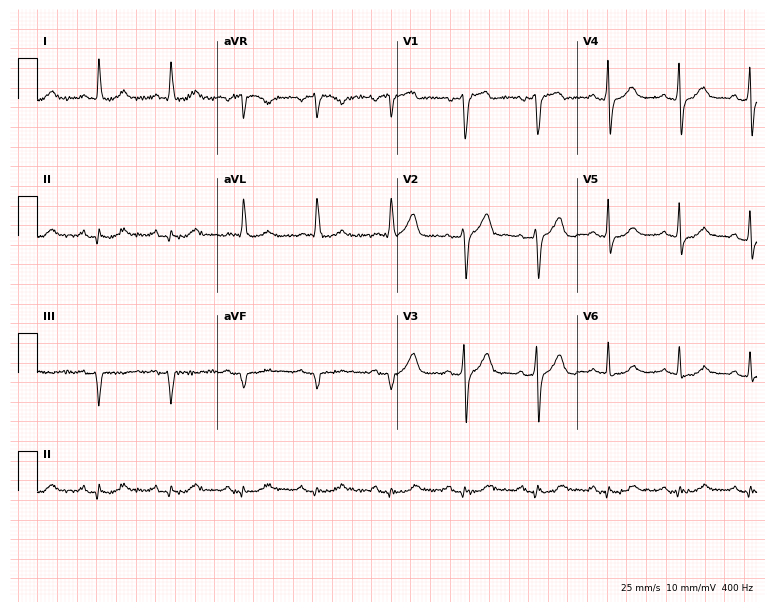
12-lead ECG (7.3-second recording at 400 Hz) from a 73-year-old male patient. Screened for six findings — first-degree AV block, right bundle branch block, left bundle branch block, sinus bradycardia, atrial fibrillation, sinus tachycardia — none is recorded. Only these six findings were labelled.